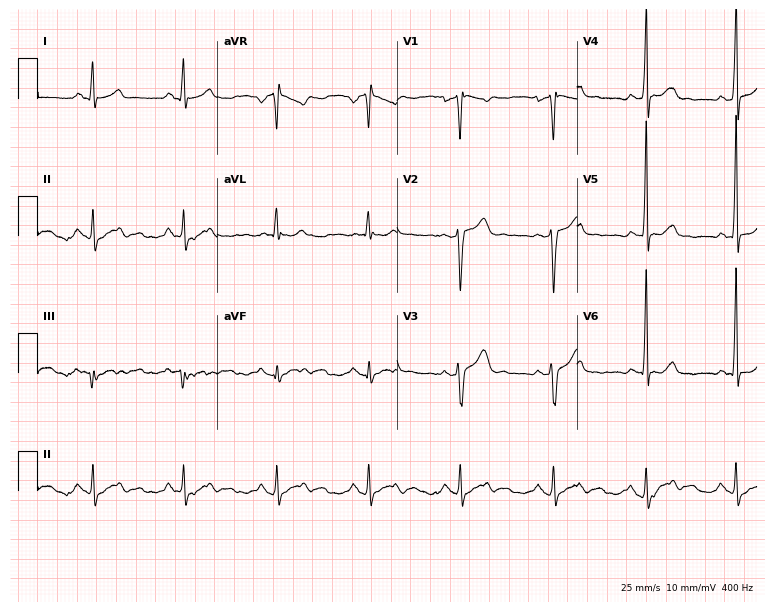
ECG (7.3-second recording at 400 Hz) — a male, 30 years old. Screened for six findings — first-degree AV block, right bundle branch block, left bundle branch block, sinus bradycardia, atrial fibrillation, sinus tachycardia — none is recorded.